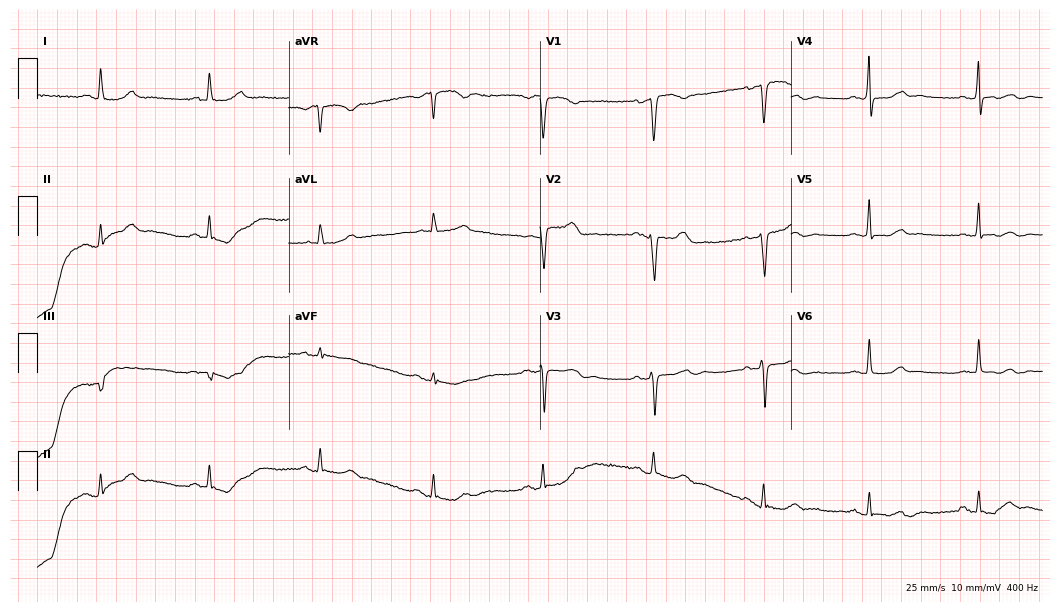
ECG (10.2-second recording at 400 Hz) — a female patient, 73 years old. Labelled as a normal ECG.